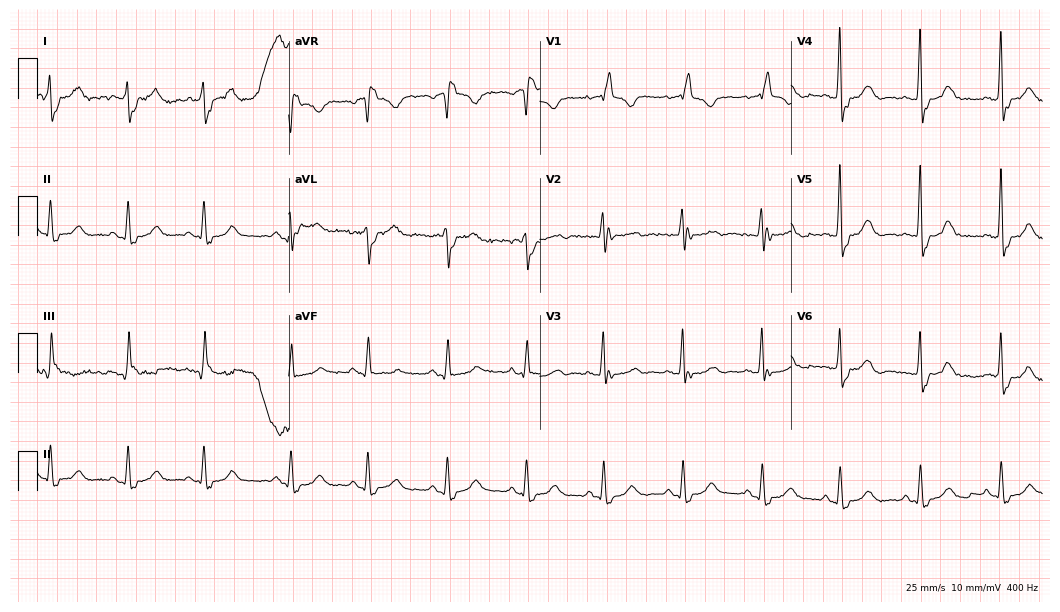
Electrocardiogram (10.2-second recording at 400 Hz), a female patient, 80 years old. Of the six screened findings (first-degree AV block, right bundle branch block, left bundle branch block, sinus bradycardia, atrial fibrillation, sinus tachycardia), none is recorded. Only these six findings were labelled.